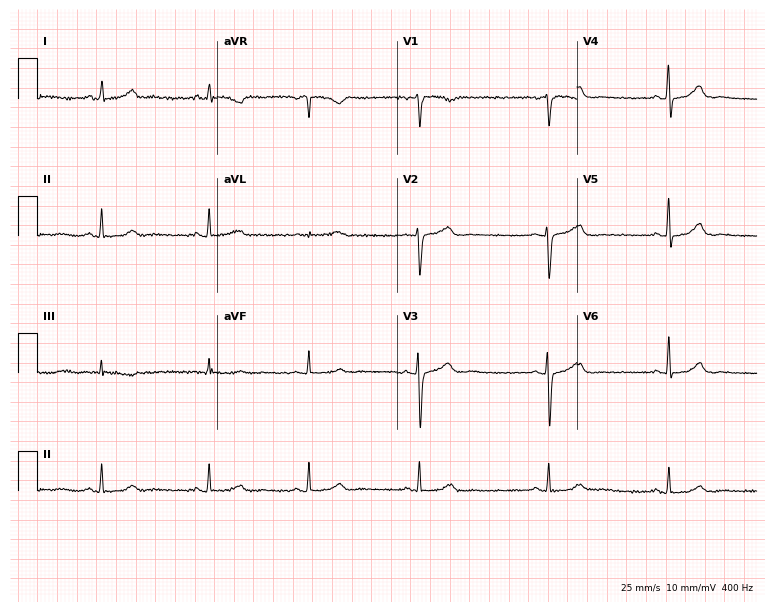
Resting 12-lead electrocardiogram (7.3-second recording at 400 Hz). Patient: a female, 39 years old. Read as a normal ECG.